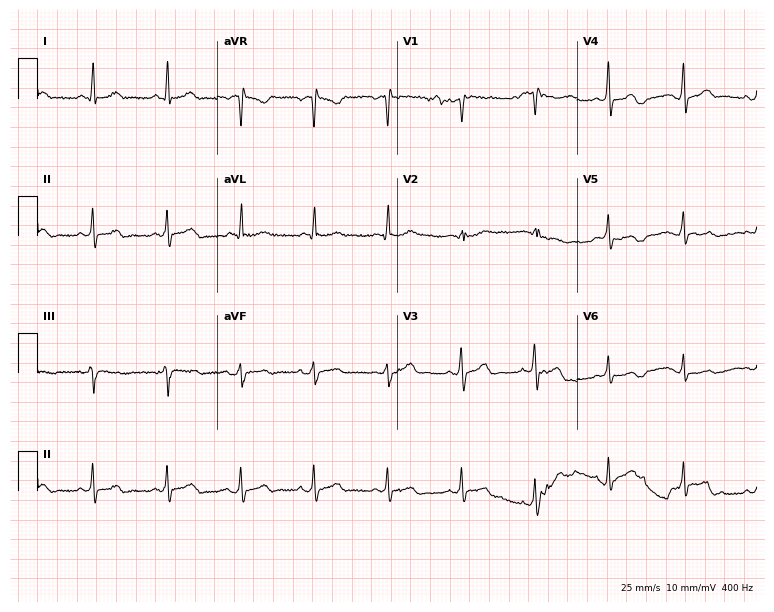
Standard 12-lead ECG recorded from a 43-year-old male (7.3-second recording at 400 Hz). None of these six findings is recorded: first-degree AV block, right bundle branch block, left bundle branch block, sinus bradycardia, atrial fibrillation, sinus tachycardia.